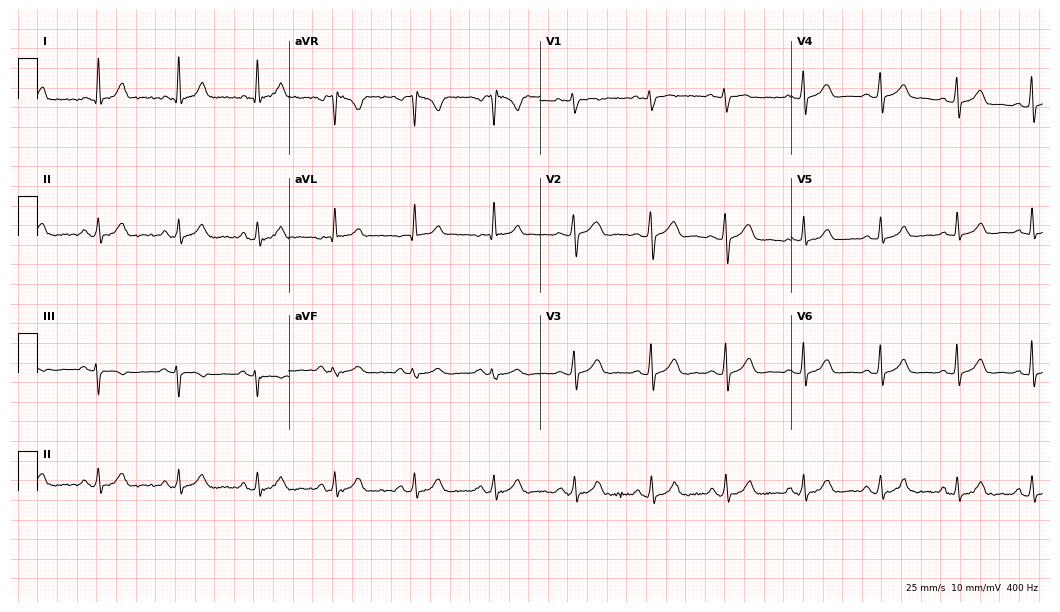
Electrocardiogram (10.2-second recording at 400 Hz), a female patient, 45 years old. Of the six screened findings (first-degree AV block, right bundle branch block (RBBB), left bundle branch block (LBBB), sinus bradycardia, atrial fibrillation (AF), sinus tachycardia), none is recorded.